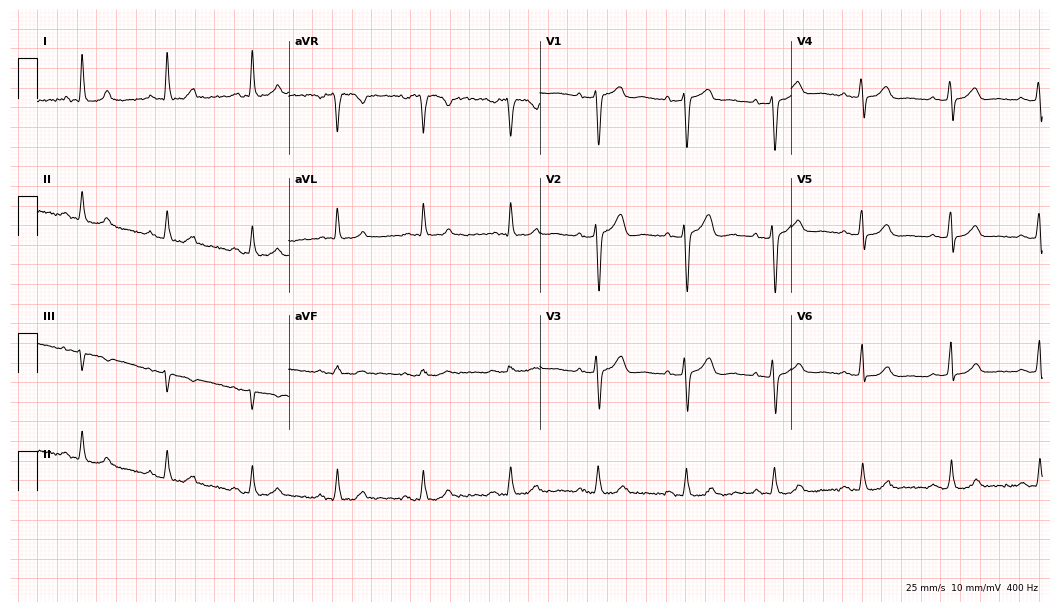
ECG — a 57-year-old woman. Screened for six findings — first-degree AV block, right bundle branch block (RBBB), left bundle branch block (LBBB), sinus bradycardia, atrial fibrillation (AF), sinus tachycardia — none is recorded. Only these six findings were labelled.